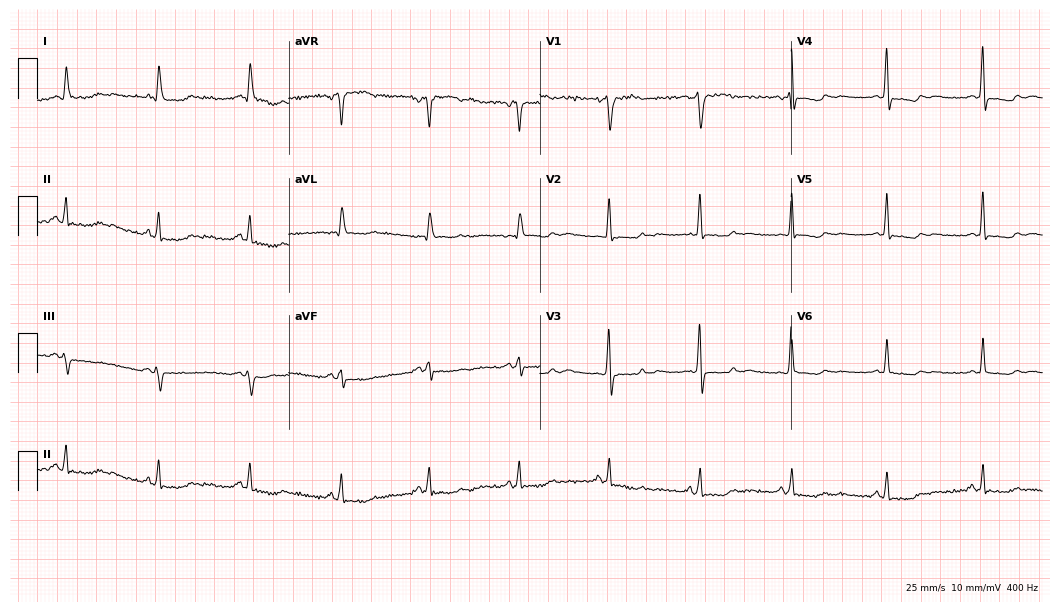
Electrocardiogram, a female patient, 59 years old. Of the six screened findings (first-degree AV block, right bundle branch block (RBBB), left bundle branch block (LBBB), sinus bradycardia, atrial fibrillation (AF), sinus tachycardia), none is recorded.